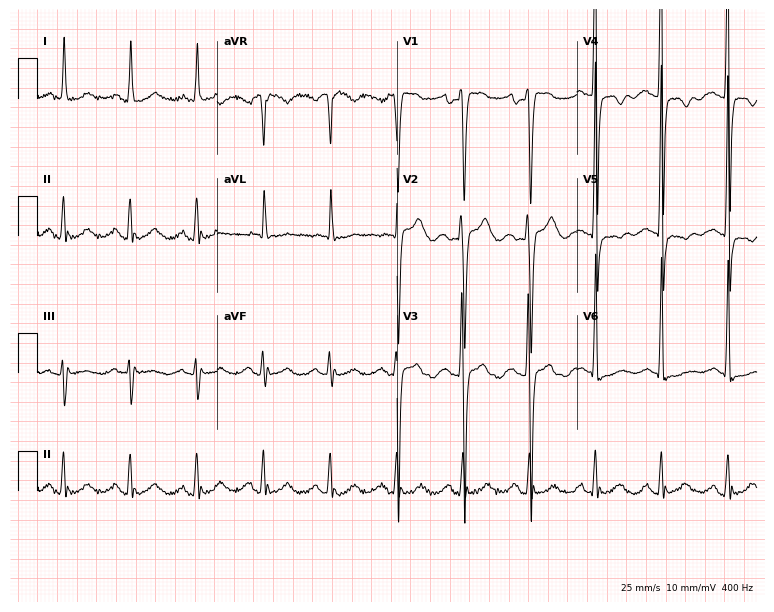
Electrocardiogram, a man, 46 years old. Of the six screened findings (first-degree AV block, right bundle branch block (RBBB), left bundle branch block (LBBB), sinus bradycardia, atrial fibrillation (AF), sinus tachycardia), none is recorded. Findings outside these six are not listed.